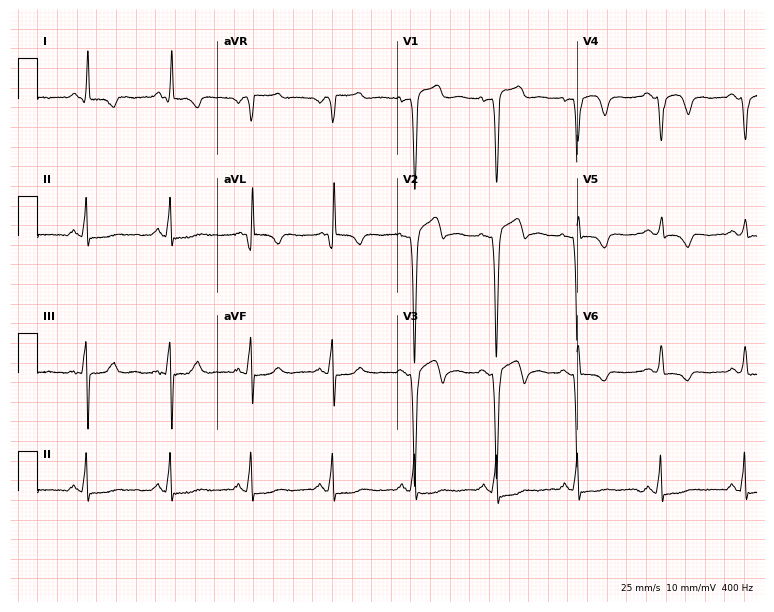
ECG (7.3-second recording at 400 Hz) — a man, 61 years old. Screened for six findings — first-degree AV block, right bundle branch block, left bundle branch block, sinus bradycardia, atrial fibrillation, sinus tachycardia — none is recorded. Only these six findings were labelled.